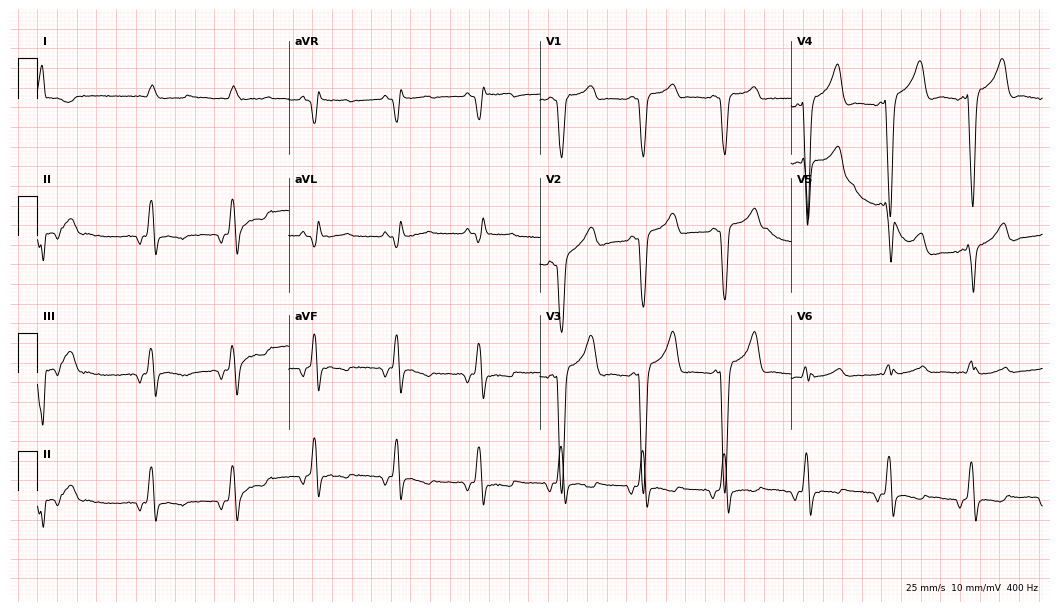
12-lead ECG from a male, 73 years old. Screened for six findings — first-degree AV block, right bundle branch block, left bundle branch block, sinus bradycardia, atrial fibrillation, sinus tachycardia — none is recorded.